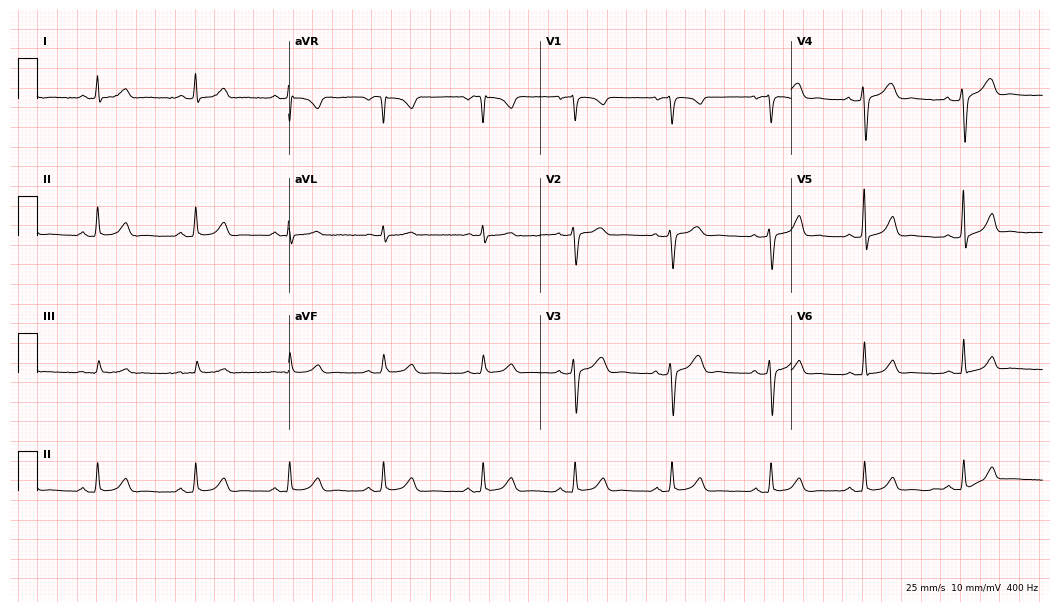
12-lead ECG from a female patient, 35 years old (10.2-second recording at 400 Hz). Recorded interpretation: within normal limits.